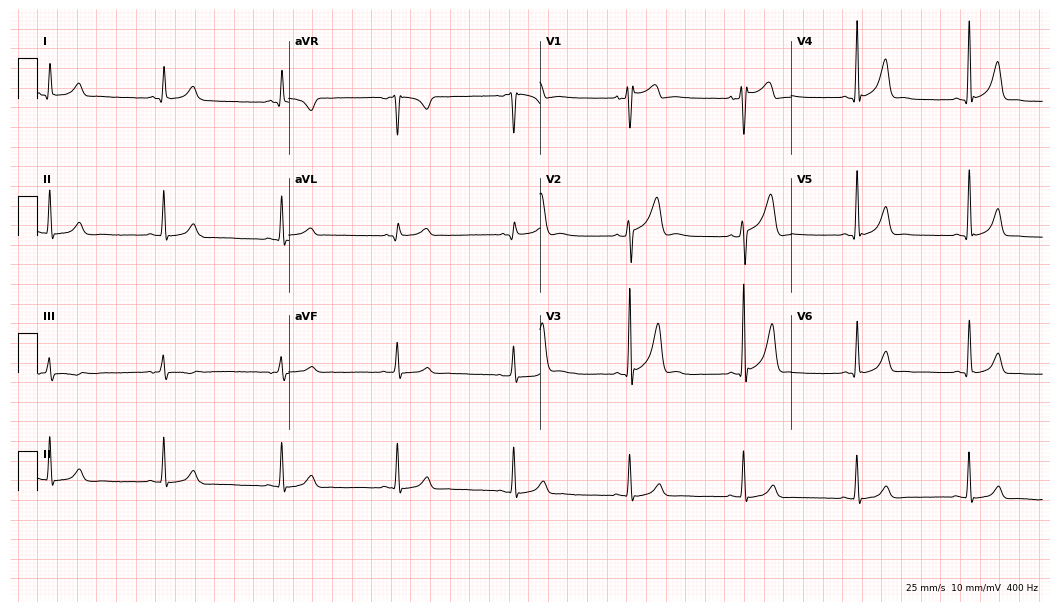
12-lead ECG (10.2-second recording at 400 Hz) from a 39-year-old male. Labelled as a normal ECG.